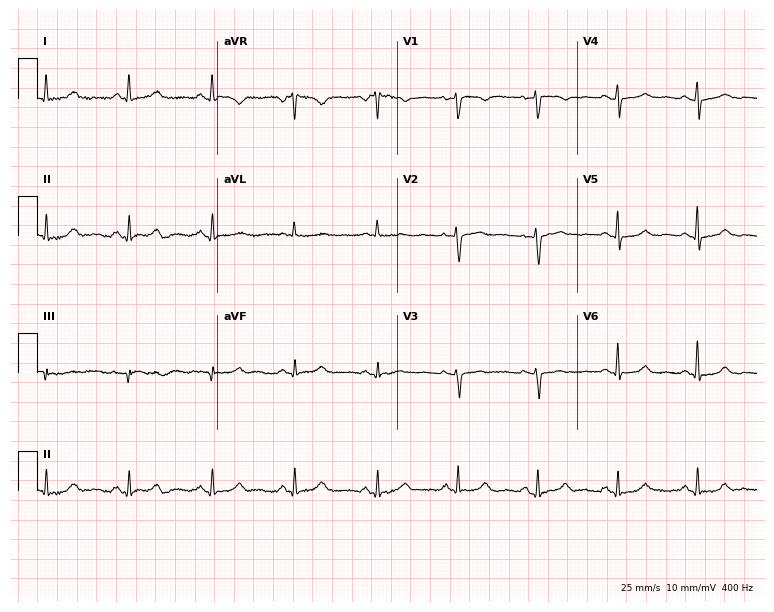
ECG (7.3-second recording at 400 Hz) — a 52-year-old female. Labelled as a normal ECG.